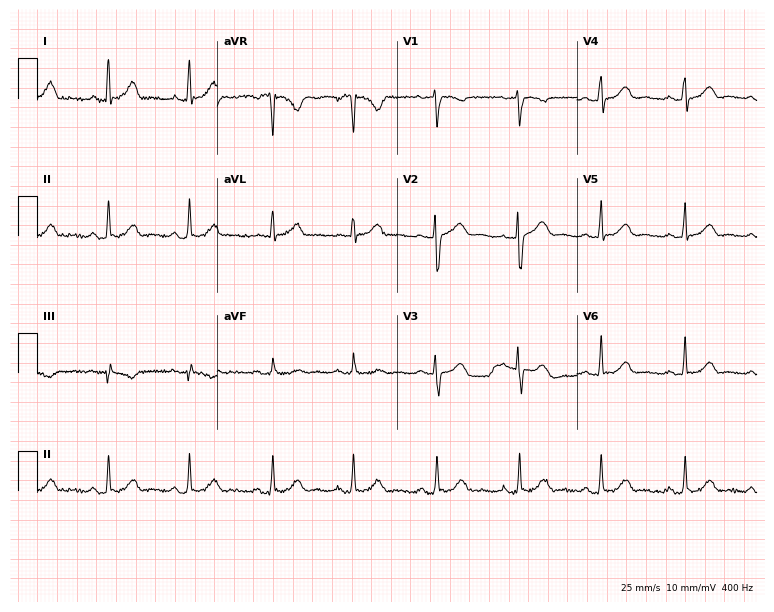
ECG — a 37-year-old female. Screened for six findings — first-degree AV block, right bundle branch block (RBBB), left bundle branch block (LBBB), sinus bradycardia, atrial fibrillation (AF), sinus tachycardia — none is recorded.